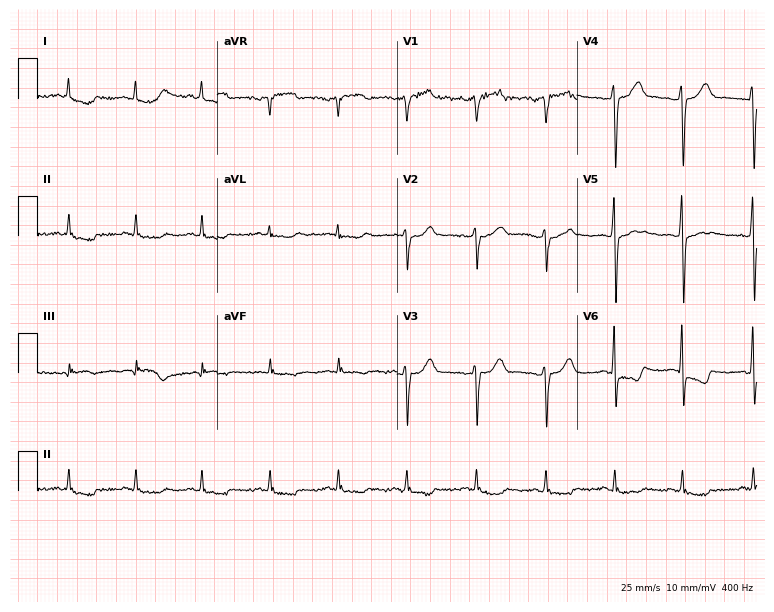
ECG (7.3-second recording at 400 Hz) — a 52-year-old man. Screened for six findings — first-degree AV block, right bundle branch block (RBBB), left bundle branch block (LBBB), sinus bradycardia, atrial fibrillation (AF), sinus tachycardia — none is recorded. Other findings, if any, are not listed.